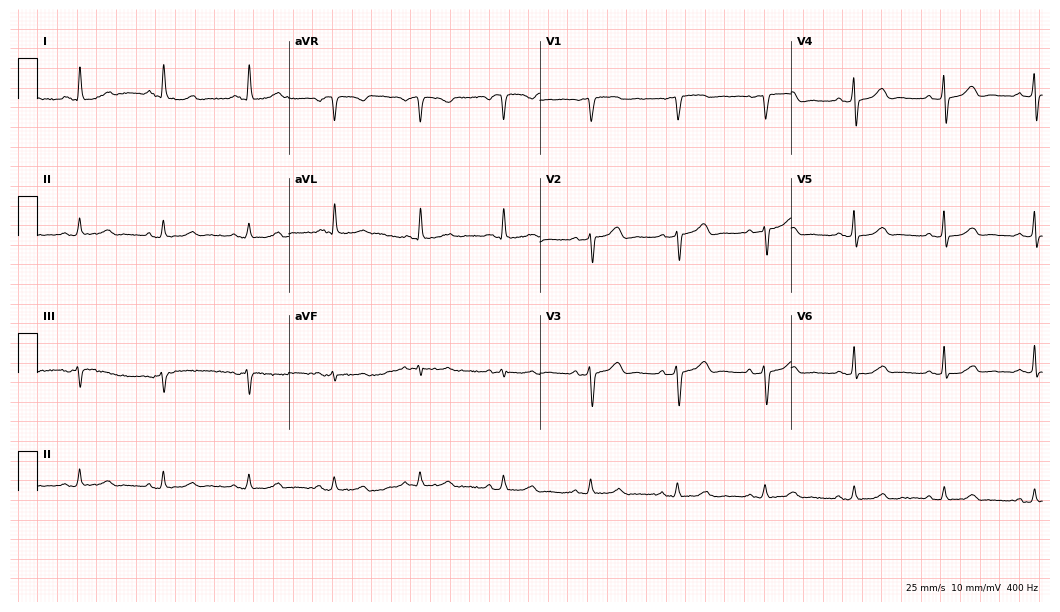
ECG — a woman, 83 years old. Labelled as a normal ECG.